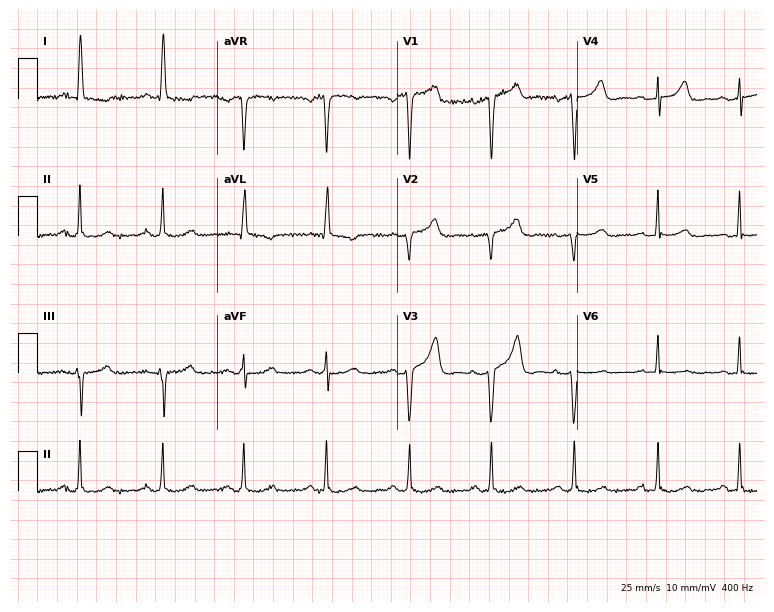
12-lead ECG from a female, 69 years old. Screened for six findings — first-degree AV block, right bundle branch block (RBBB), left bundle branch block (LBBB), sinus bradycardia, atrial fibrillation (AF), sinus tachycardia — none is recorded. Findings outside these six are not listed.